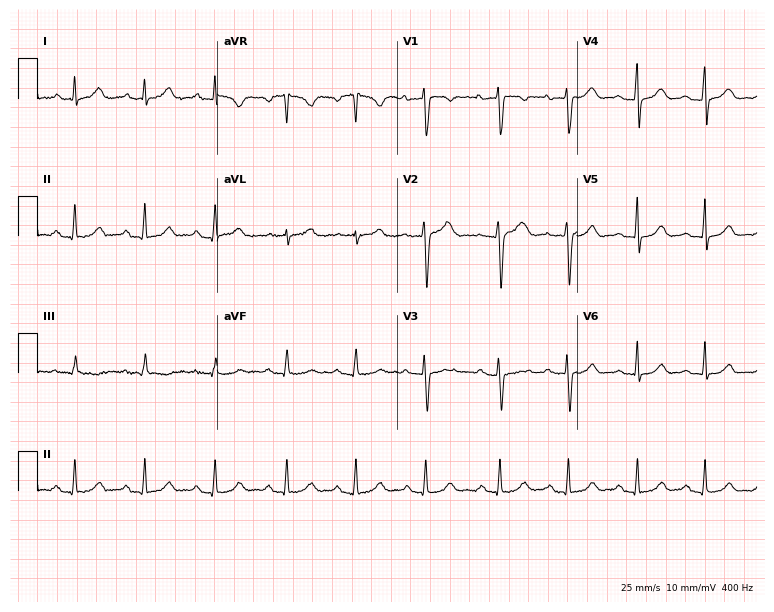
12-lead ECG from a woman, 39 years old (7.3-second recording at 400 Hz). Recorded interpretation: within normal limits.